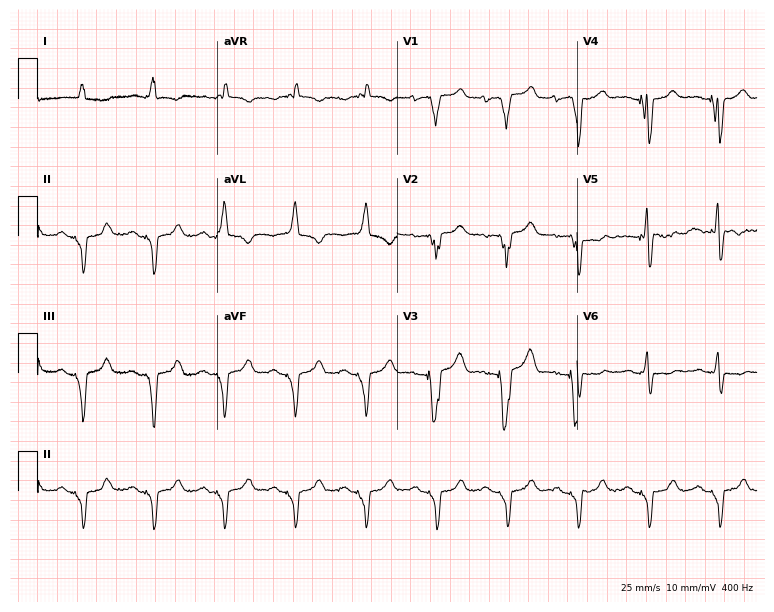
Standard 12-lead ECG recorded from a woman, 85 years old. None of these six findings is recorded: first-degree AV block, right bundle branch block (RBBB), left bundle branch block (LBBB), sinus bradycardia, atrial fibrillation (AF), sinus tachycardia.